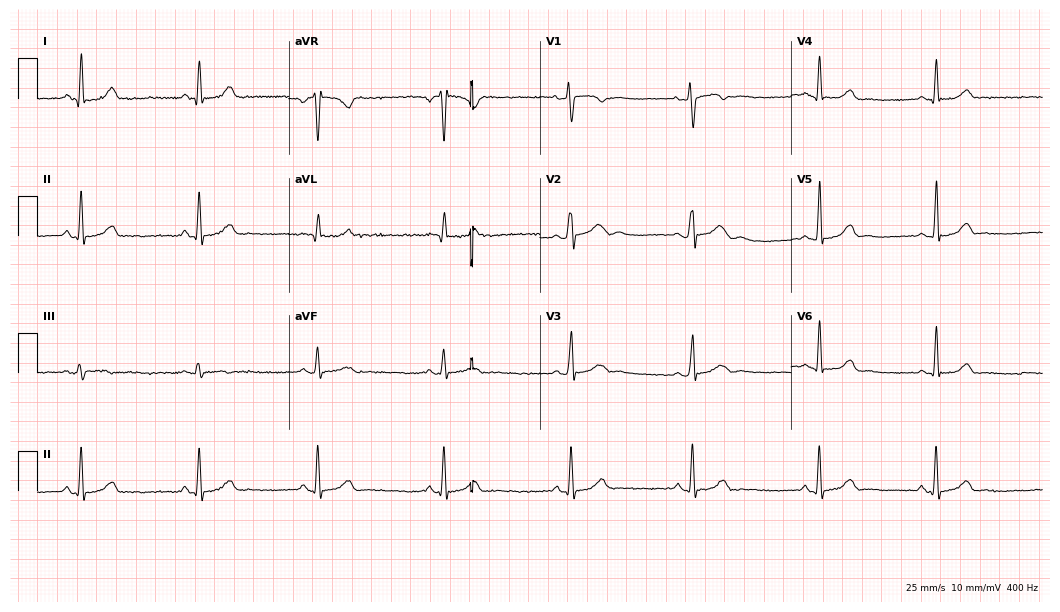
12-lead ECG from a woman, 19 years old (10.2-second recording at 400 Hz). Shows sinus bradycardia (a sinus rate of 50 beats per minute or less).